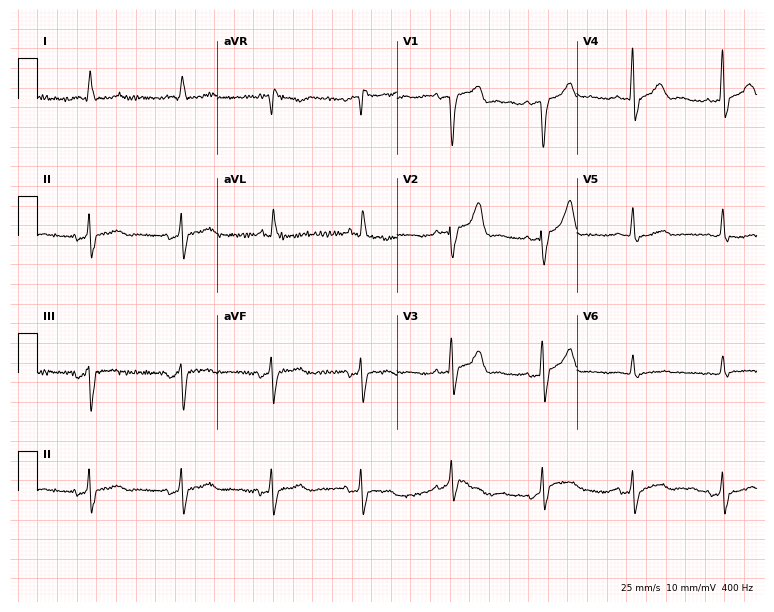
Standard 12-lead ECG recorded from a male, 84 years old (7.3-second recording at 400 Hz). None of these six findings is recorded: first-degree AV block, right bundle branch block (RBBB), left bundle branch block (LBBB), sinus bradycardia, atrial fibrillation (AF), sinus tachycardia. Findings outside these six are not listed.